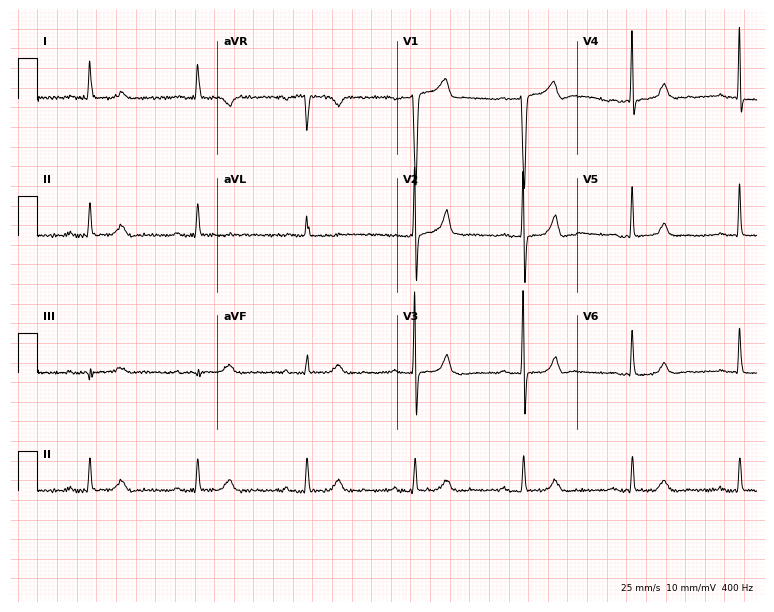
Electrocardiogram (7.3-second recording at 400 Hz), a female patient, 82 years old. Of the six screened findings (first-degree AV block, right bundle branch block, left bundle branch block, sinus bradycardia, atrial fibrillation, sinus tachycardia), none is recorded. Only these six findings were labelled.